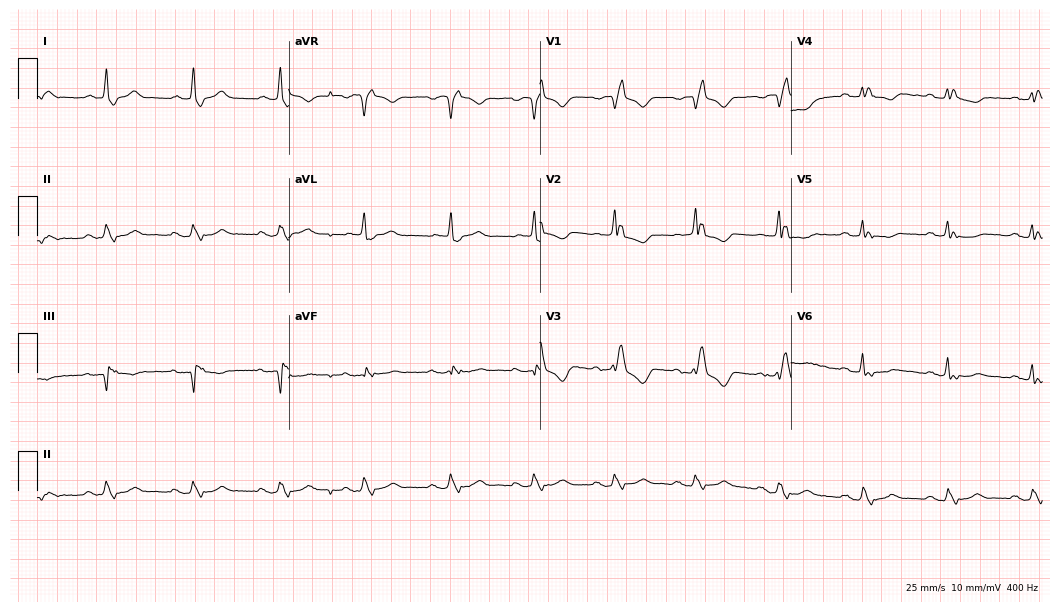
ECG (10.2-second recording at 400 Hz) — a man, 62 years old. Findings include right bundle branch block (RBBB).